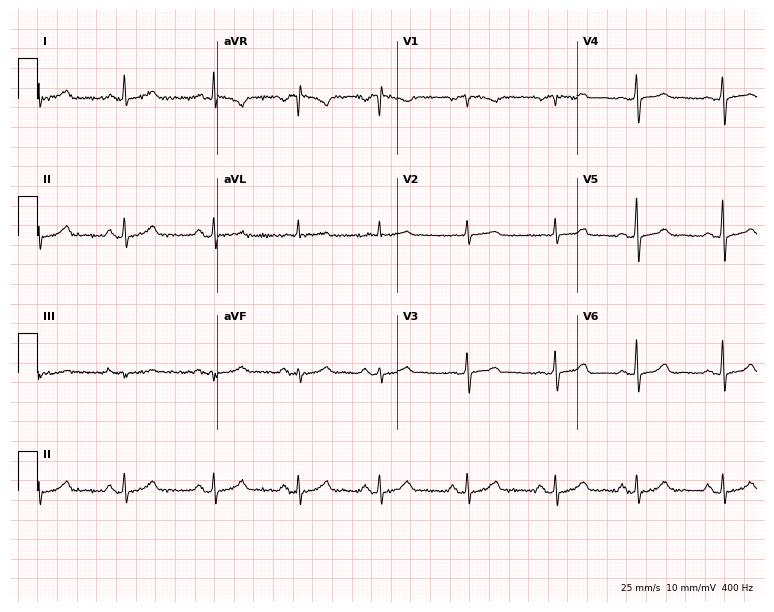
Standard 12-lead ECG recorded from a female patient, 69 years old. Read as a normal ECG.